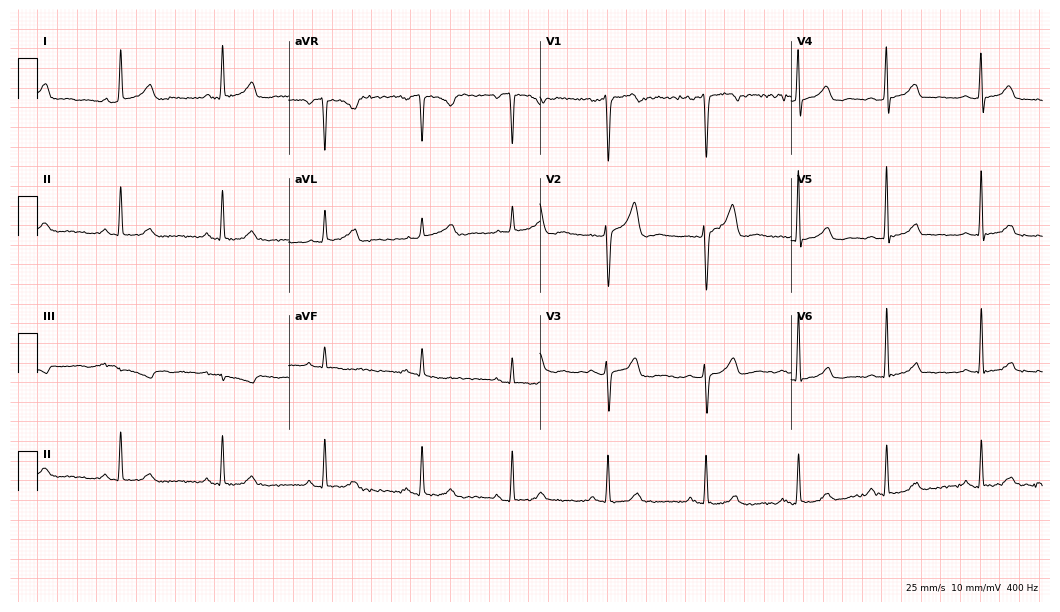
12-lead ECG from a 38-year-old female (10.2-second recording at 400 Hz). No first-degree AV block, right bundle branch block, left bundle branch block, sinus bradycardia, atrial fibrillation or sinus tachycardia recorded for this tracing. Findings outside these six are not listed.